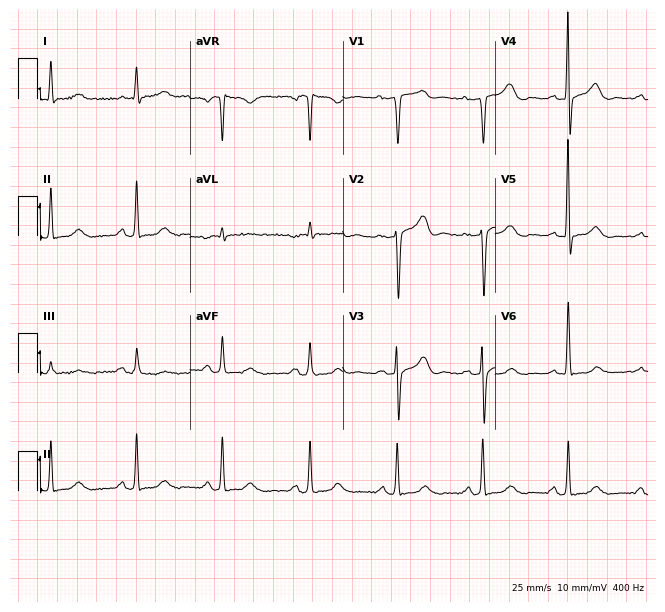
12-lead ECG from an 83-year-old woman. No first-degree AV block, right bundle branch block (RBBB), left bundle branch block (LBBB), sinus bradycardia, atrial fibrillation (AF) or sinus tachycardia recorded for this tracing.